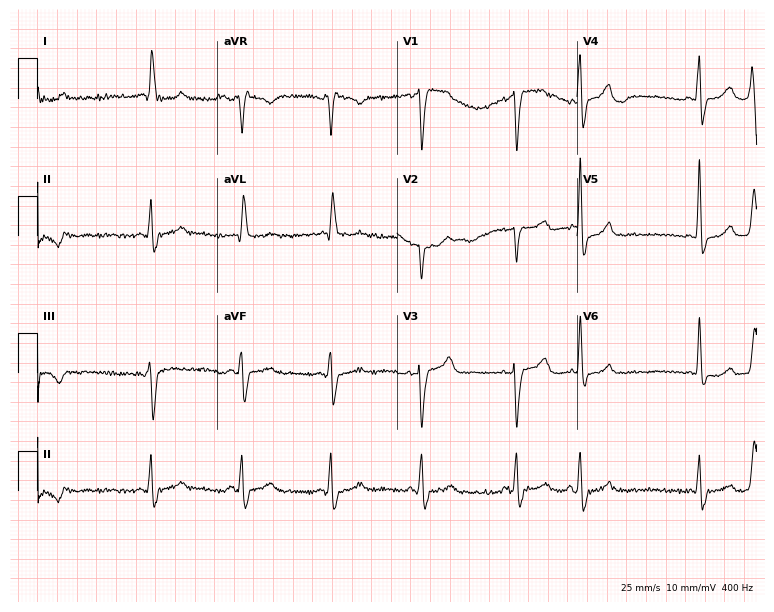
Standard 12-lead ECG recorded from a 68-year-old woman. None of these six findings is recorded: first-degree AV block, right bundle branch block (RBBB), left bundle branch block (LBBB), sinus bradycardia, atrial fibrillation (AF), sinus tachycardia.